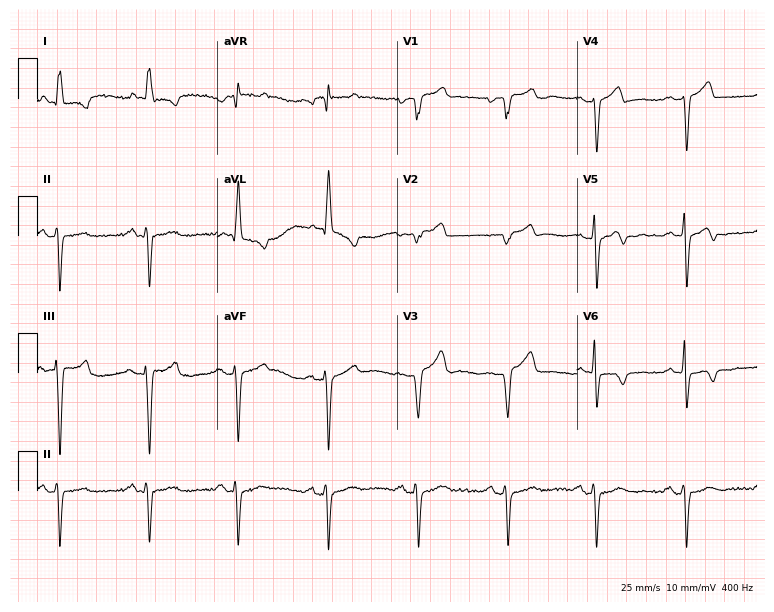
Standard 12-lead ECG recorded from a 74-year-old male. None of these six findings is recorded: first-degree AV block, right bundle branch block, left bundle branch block, sinus bradycardia, atrial fibrillation, sinus tachycardia.